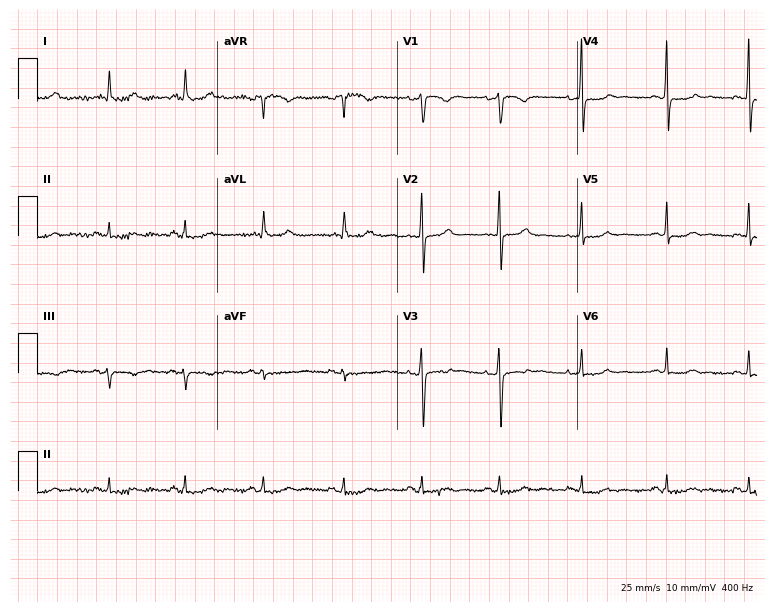
12-lead ECG (7.3-second recording at 400 Hz) from a female, 27 years old. Screened for six findings — first-degree AV block, right bundle branch block (RBBB), left bundle branch block (LBBB), sinus bradycardia, atrial fibrillation (AF), sinus tachycardia — none is recorded.